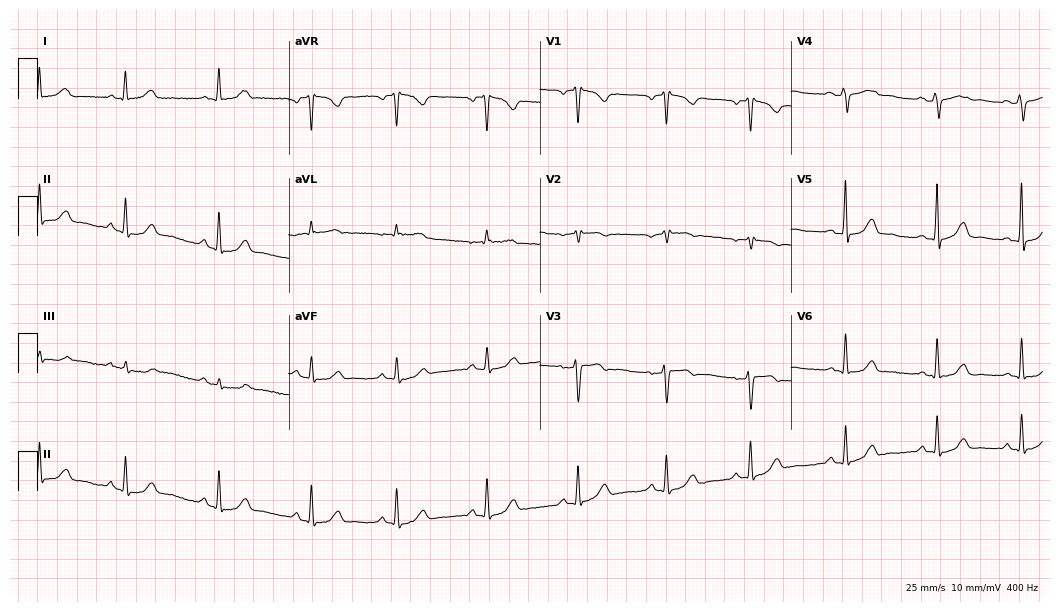
Electrocardiogram, a 36-year-old female. Of the six screened findings (first-degree AV block, right bundle branch block, left bundle branch block, sinus bradycardia, atrial fibrillation, sinus tachycardia), none is recorded.